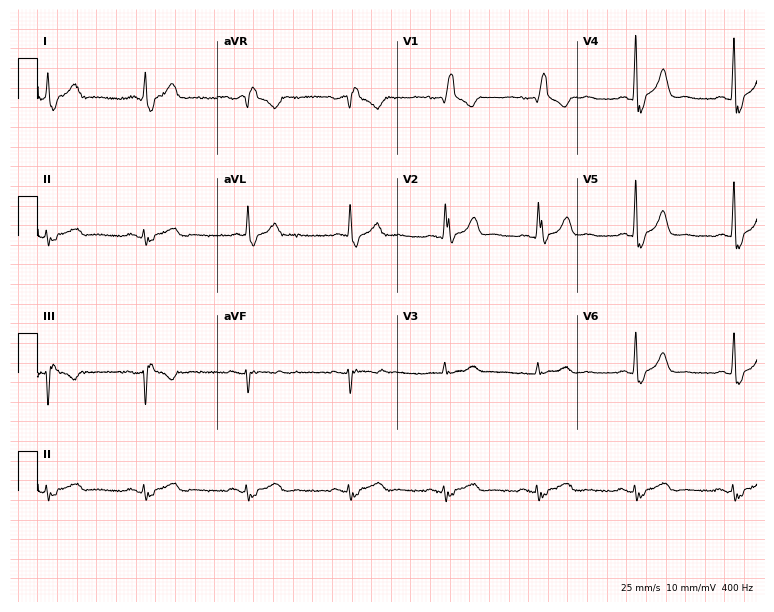
Standard 12-lead ECG recorded from a female, 73 years old (7.3-second recording at 400 Hz). The tracing shows right bundle branch block.